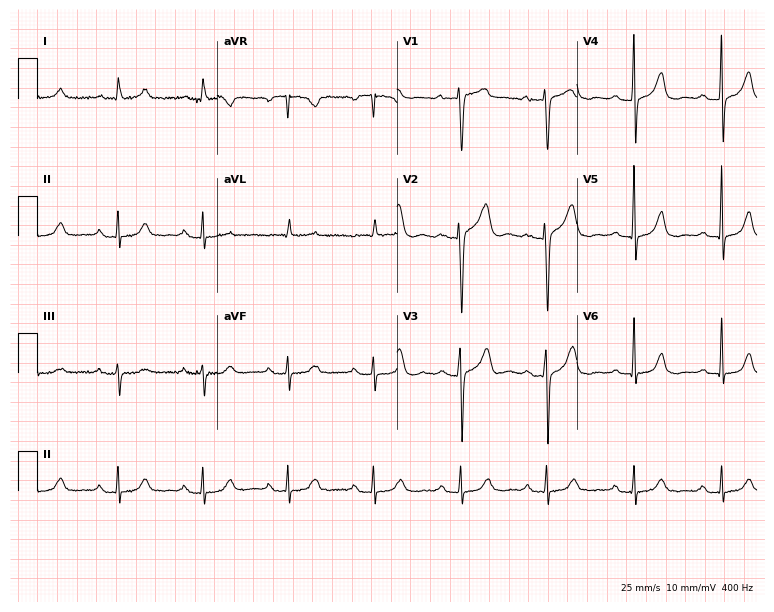
Electrocardiogram (7.3-second recording at 400 Hz), a female patient, 85 years old. Overall reading on record: normal ECG.